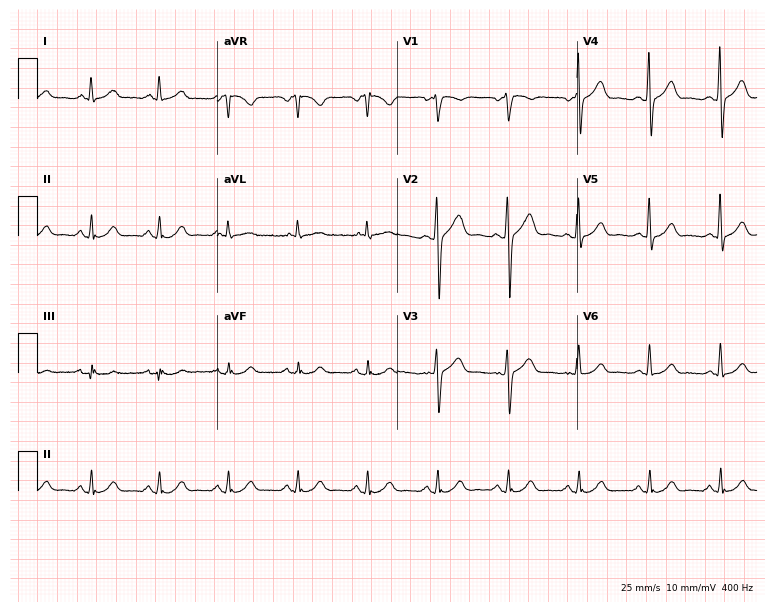
12-lead ECG from a 79-year-old male patient (7.3-second recording at 400 Hz). Recorded interpretation: within normal limits.